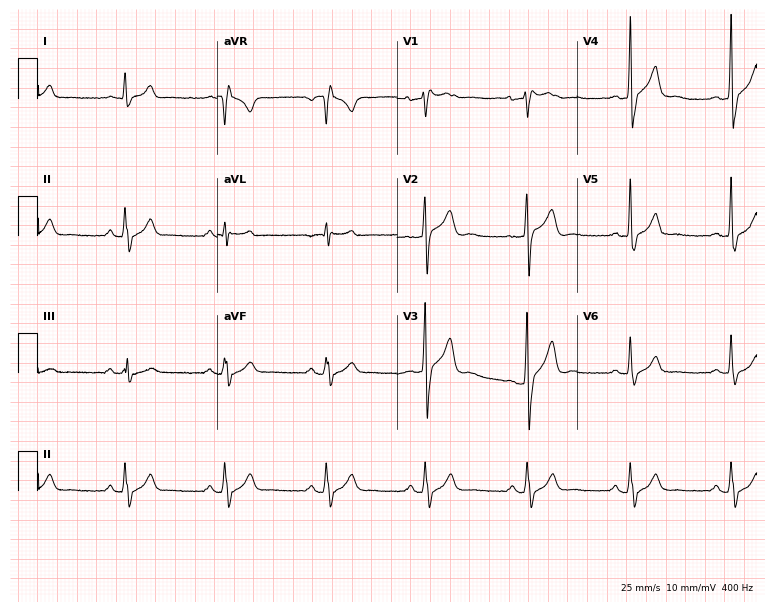
ECG (7.3-second recording at 400 Hz) — a female, 37 years old. Screened for six findings — first-degree AV block, right bundle branch block (RBBB), left bundle branch block (LBBB), sinus bradycardia, atrial fibrillation (AF), sinus tachycardia — none is recorded. Findings outside these six are not listed.